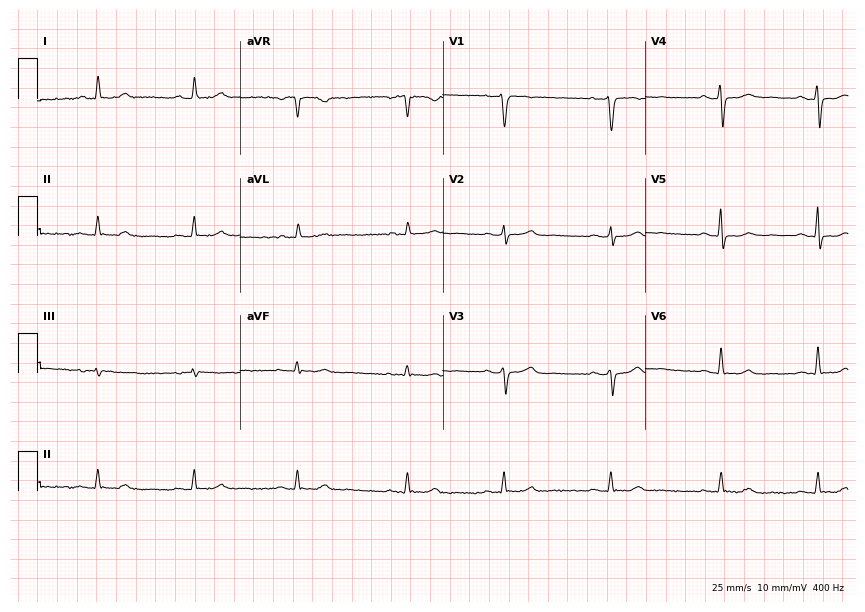
Standard 12-lead ECG recorded from a female, 56 years old. Read as a normal ECG.